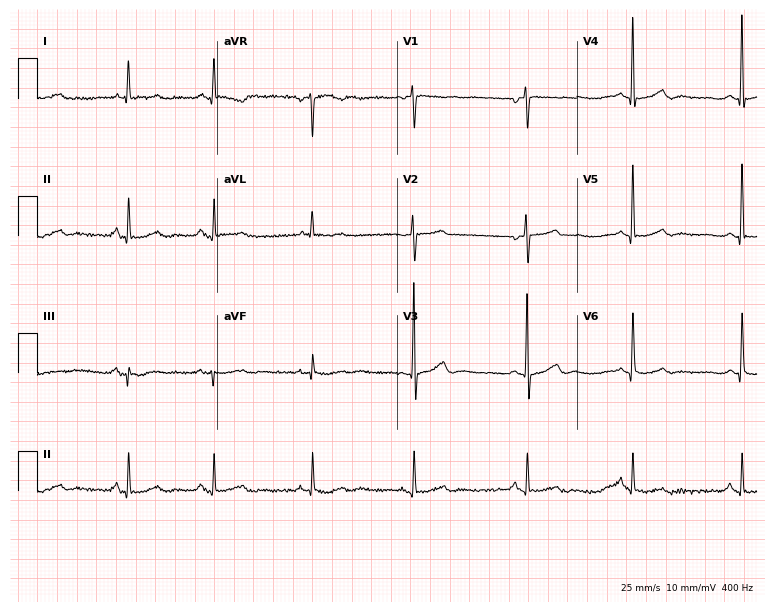
ECG — a female patient, 71 years old. Labelled as a normal ECG.